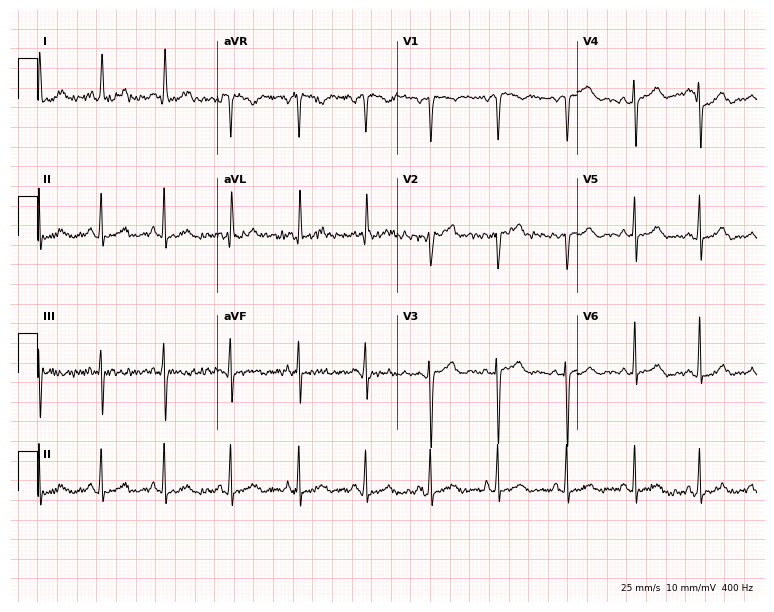
12-lead ECG from a female, 48 years old. Recorded interpretation: within normal limits.